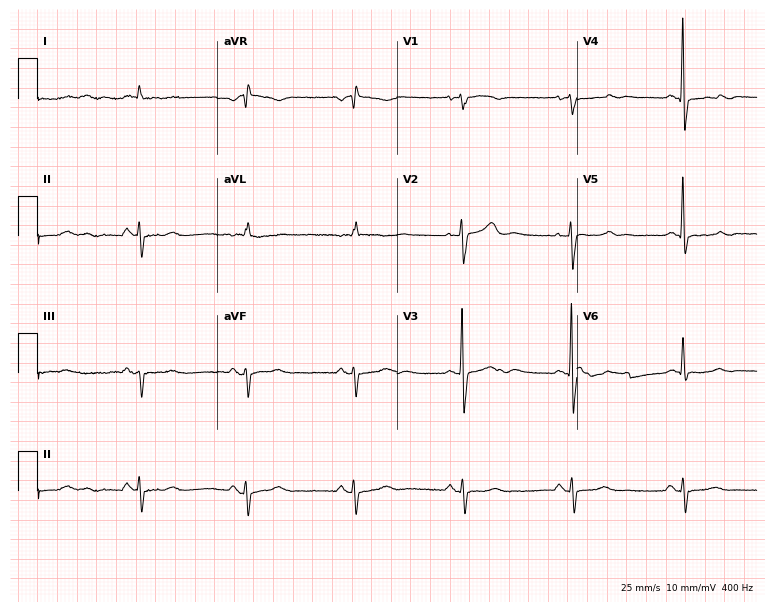
ECG (7.3-second recording at 400 Hz) — a 69-year-old male patient. Screened for six findings — first-degree AV block, right bundle branch block (RBBB), left bundle branch block (LBBB), sinus bradycardia, atrial fibrillation (AF), sinus tachycardia — none is recorded.